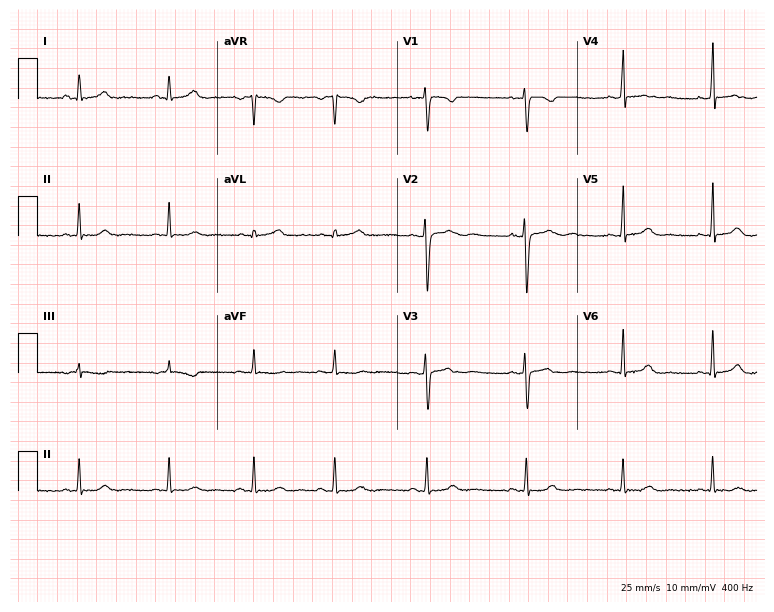
Resting 12-lead electrocardiogram. Patient: a female, 17 years old. Read as a normal ECG.